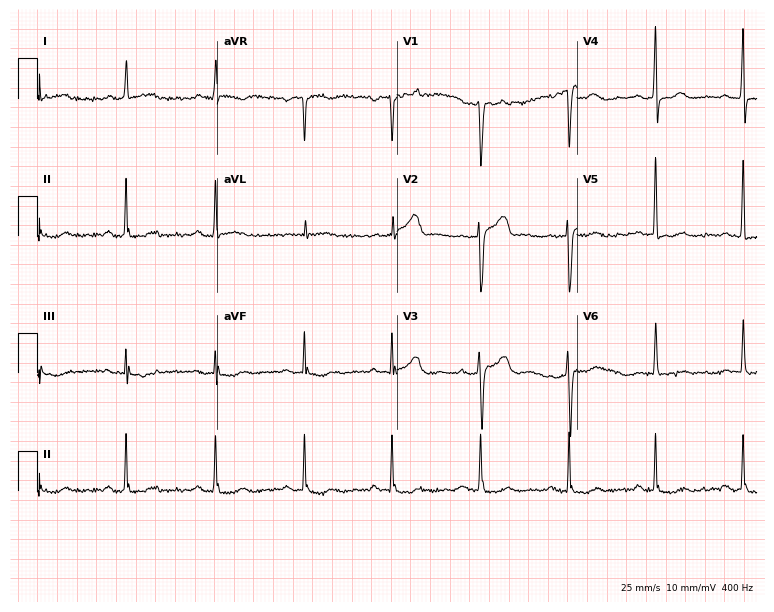
ECG (7.3-second recording at 400 Hz) — a male patient, 59 years old. Screened for six findings — first-degree AV block, right bundle branch block, left bundle branch block, sinus bradycardia, atrial fibrillation, sinus tachycardia — none is recorded.